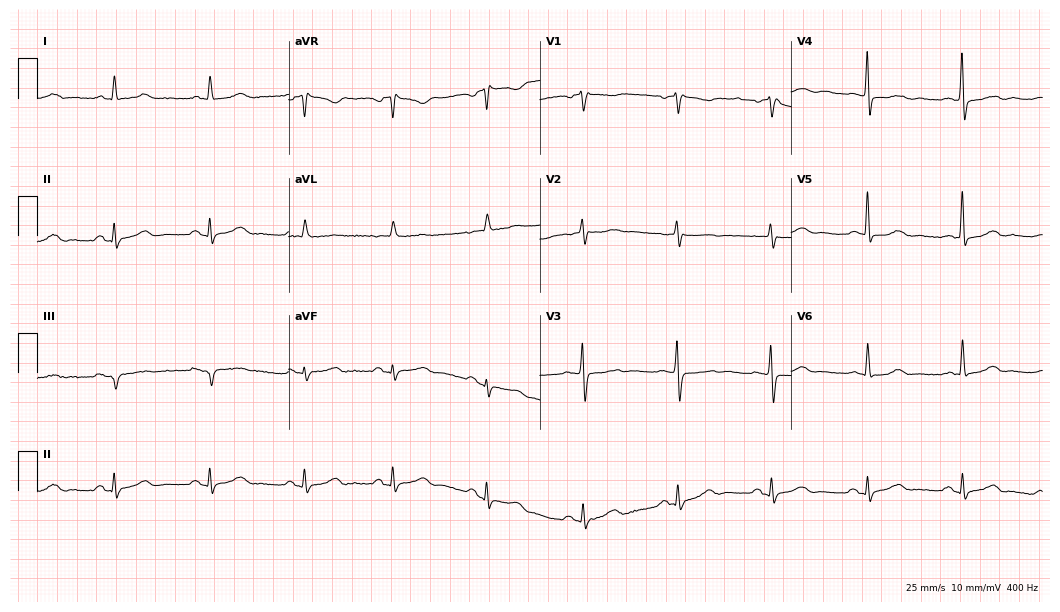
12-lead ECG from a female, 80 years old. Screened for six findings — first-degree AV block, right bundle branch block, left bundle branch block, sinus bradycardia, atrial fibrillation, sinus tachycardia — none is recorded. Only these six findings were labelled.